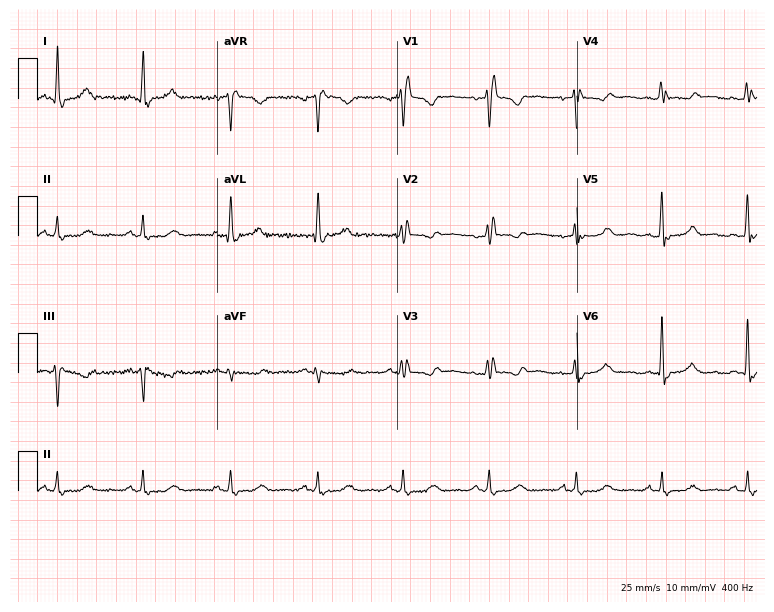
12-lead ECG from a woman, 72 years old. Shows right bundle branch block (RBBB).